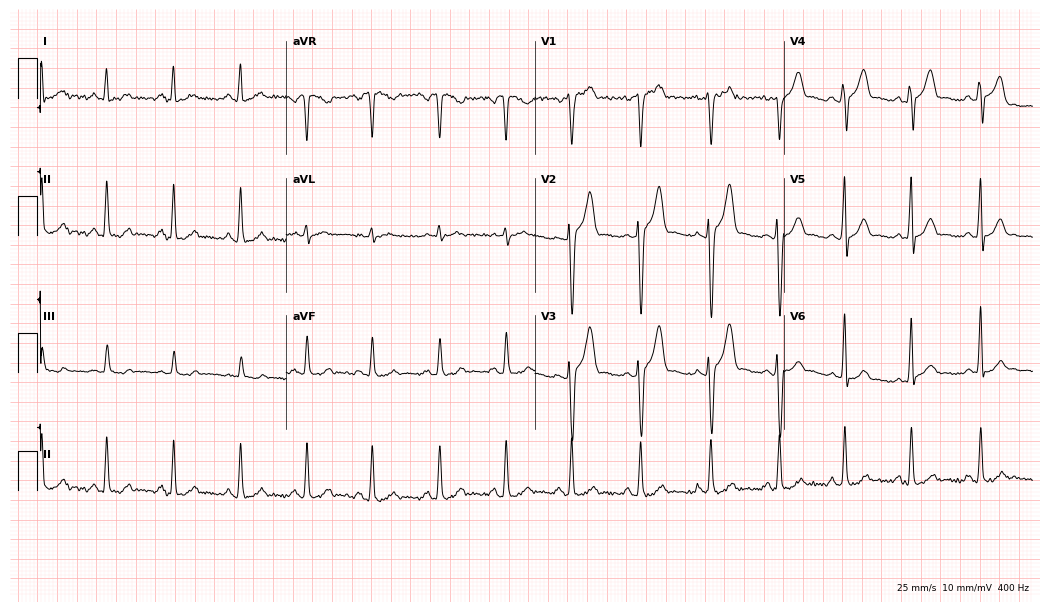
Electrocardiogram (10.1-second recording at 400 Hz), a man, 24 years old. Overall reading on record: normal ECG.